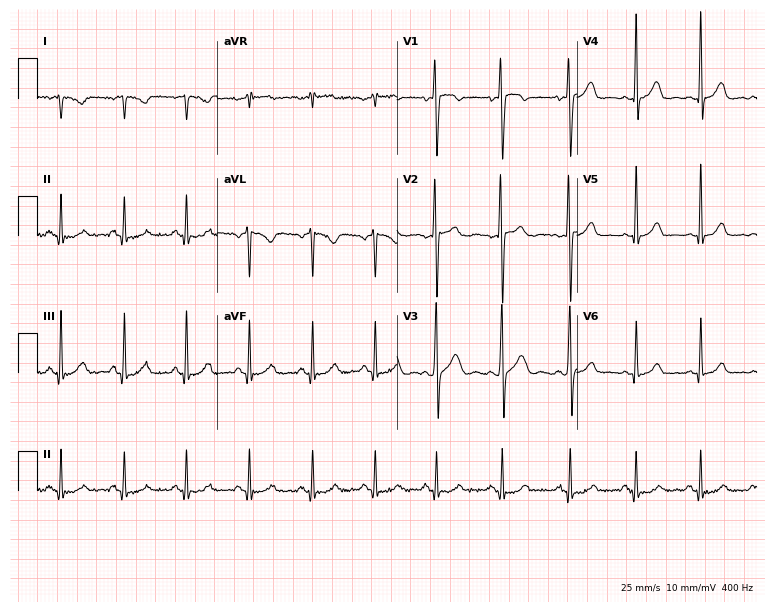
12-lead ECG (7.3-second recording at 400 Hz) from a 23-year-old male. Screened for six findings — first-degree AV block, right bundle branch block, left bundle branch block, sinus bradycardia, atrial fibrillation, sinus tachycardia — none is recorded. Findings outside these six are not listed.